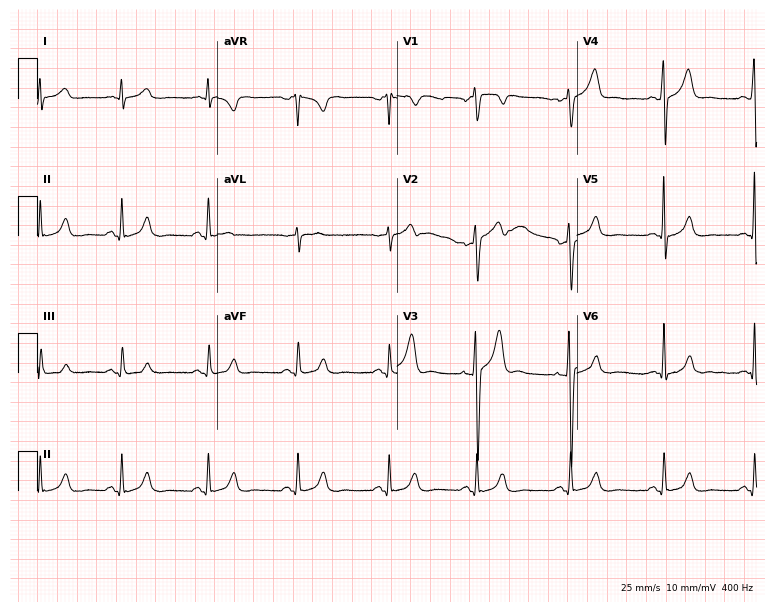
Standard 12-lead ECG recorded from a male patient, 27 years old (7.3-second recording at 400 Hz). None of these six findings is recorded: first-degree AV block, right bundle branch block, left bundle branch block, sinus bradycardia, atrial fibrillation, sinus tachycardia.